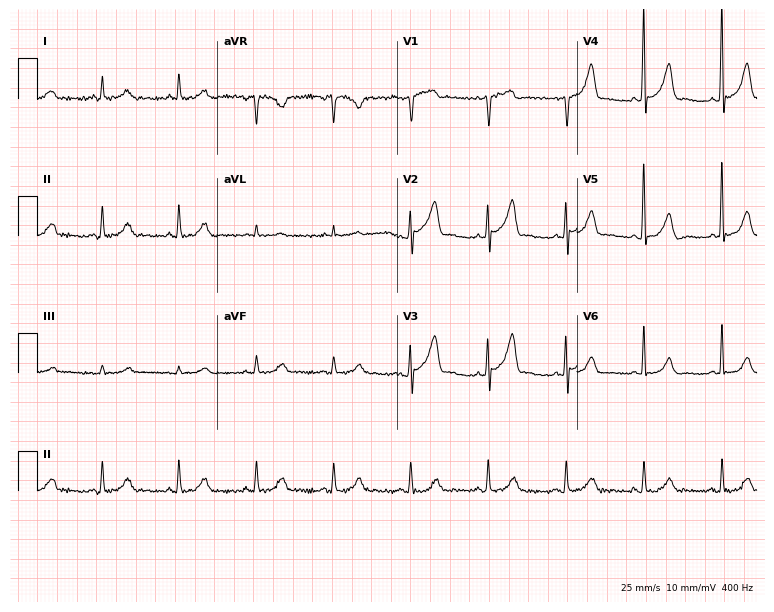
ECG (7.3-second recording at 400 Hz) — a 67-year-old male patient. Screened for six findings — first-degree AV block, right bundle branch block (RBBB), left bundle branch block (LBBB), sinus bradycardia, atrial fibrillation (AF), sinus tachycardia — none is recorded.